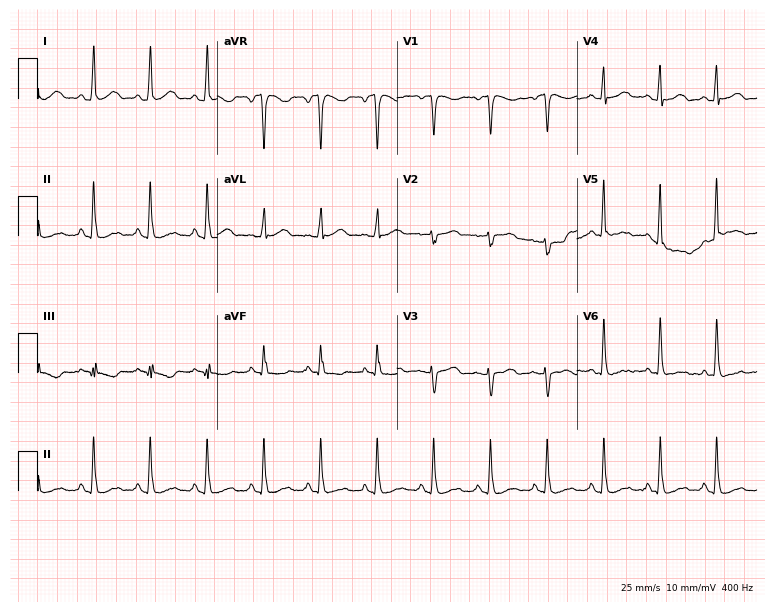
Standard 12-lead ECG recorded from a woman, 58 years old (7.3-second recording at 400 Hz). The tracing shows sinus tachycardia (a sinus rate of 100 beats per minute or more).